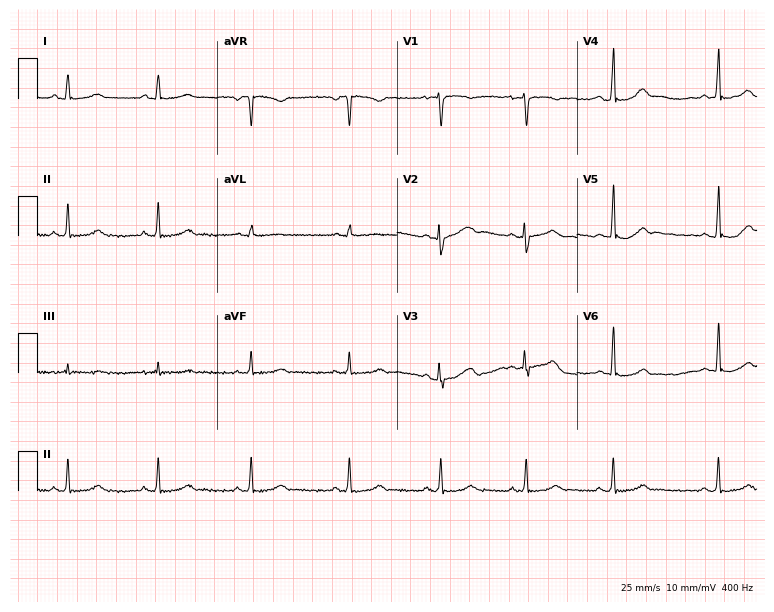
ECG — a 26-year-old woman. Screened for six findings — first-degree AV block, right bundle branch block (RBBB), left bundle branch block (LBBB), sinus bradycardia, atrial fibrillation (AF), sinus tachycardia — none is recorded.